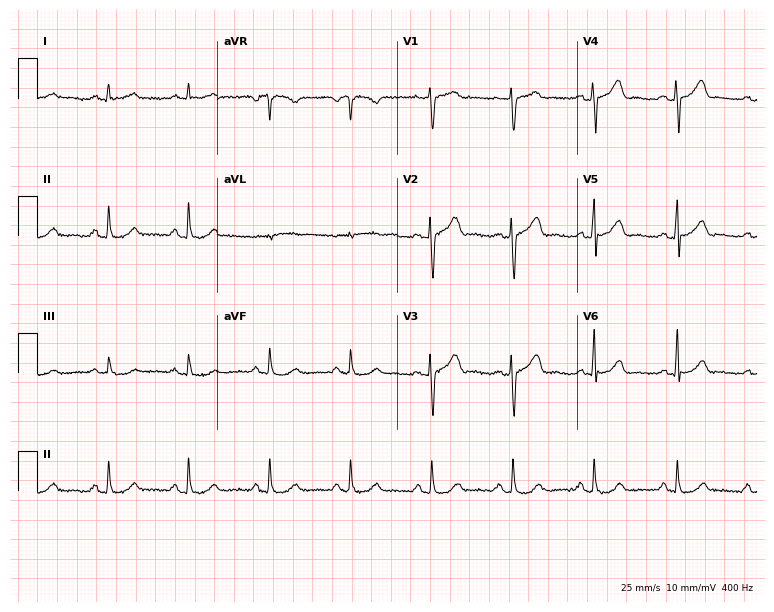
12-lead ECG from a female, 70 years old. Recorded interpretation: within normal limits.